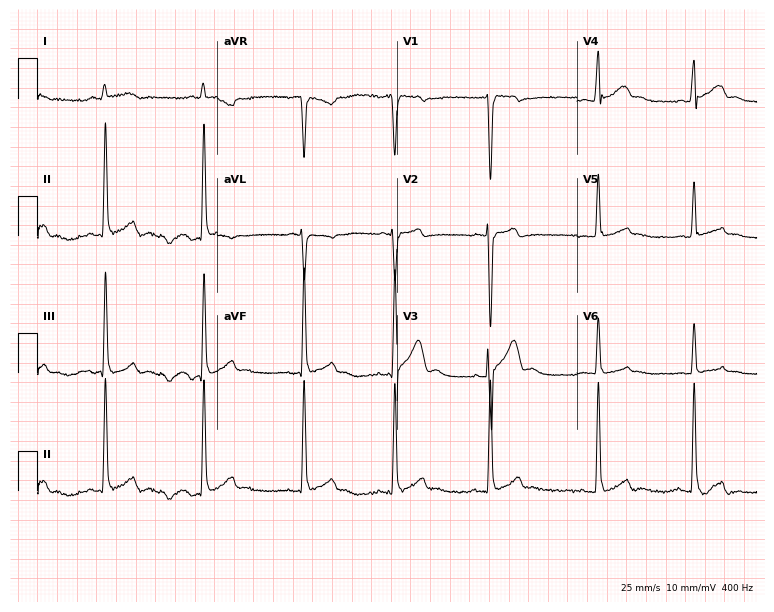
Standard 12-lead ECG recorded from a 33-year-old male patient (7.3-second recording at 400 Hz). None of these six findings is recorded: first-degree AV block, right bundle branch block (RBBB), left bundle branch block (LBBB), sinus bradycardia, atrial fibrillation (AF), sinus tachycardia. Only these six findings were labelled.